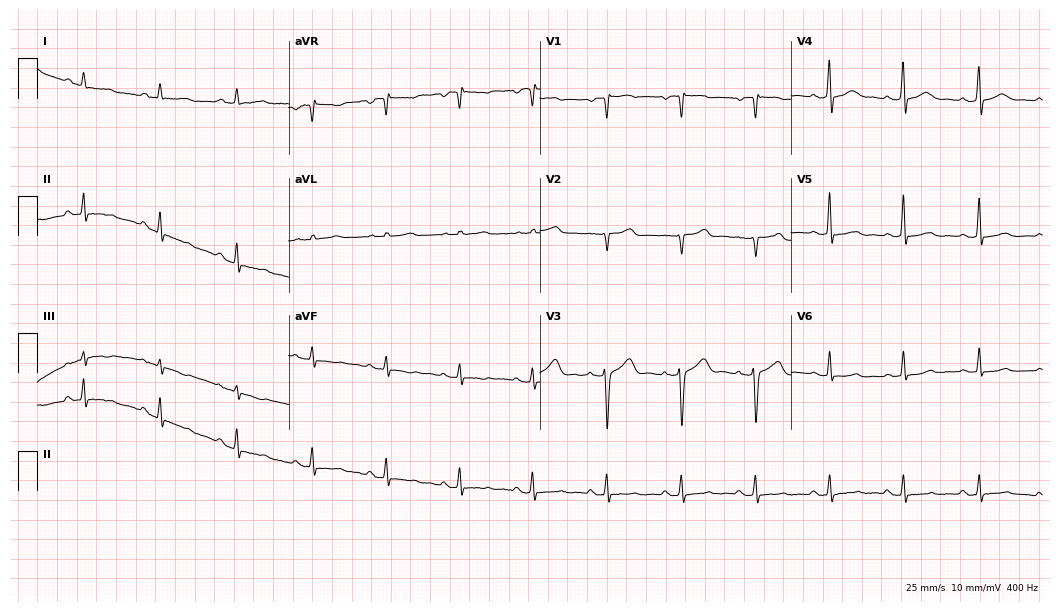
12-lead ECG from a 49-year-old female (10.2-second recording at 400 Hz). No first-degree AV block, right bundle branch block, left bundle branch block, sinus bradycardia, atrial fibrillation or sinus tachycardia recorded for this tracing.